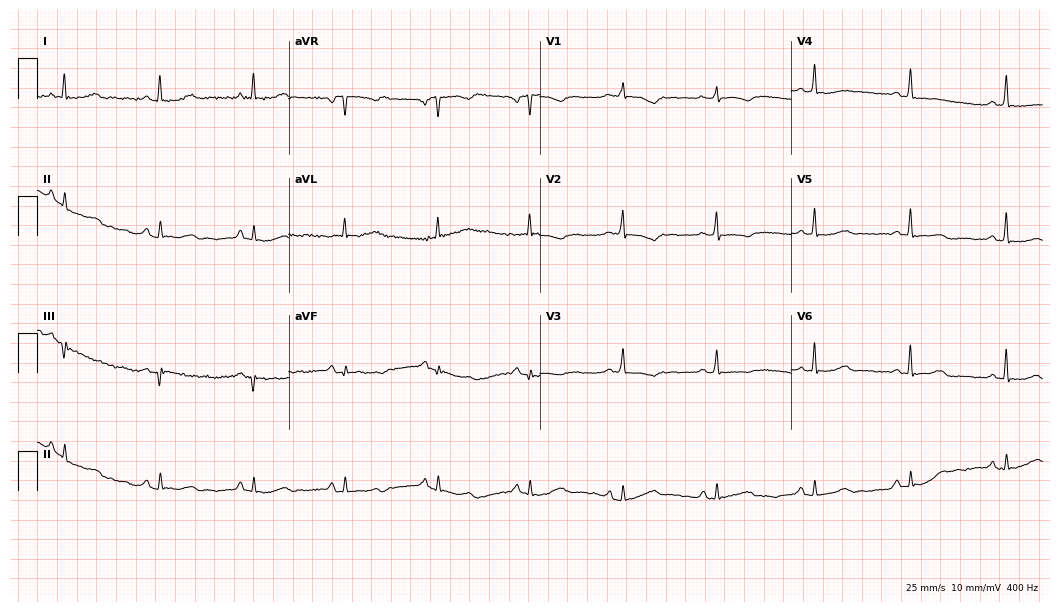
Standard 12-lead ECG recorded from a 57-year-old woman (10.2-second recording at 400 Hz). None of these six findings is recorded: first-degree AV block, right bundle branch block, left bundle branch block, sinus bradycardia, atrial fibrillation, sinus tachycardia. Other findings, if any, are not listed.